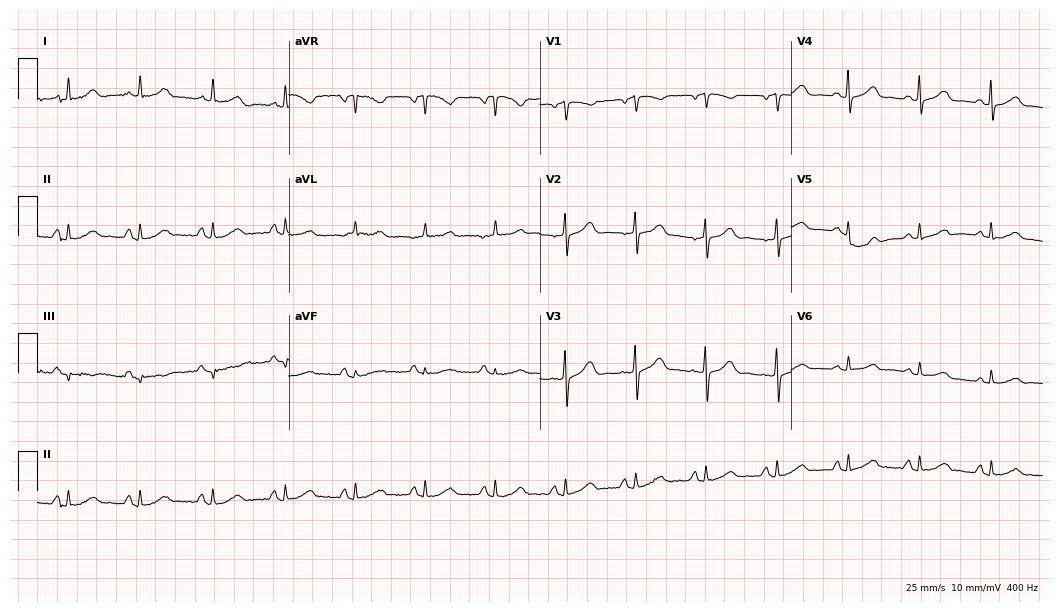
Resting 12-lead electrocardiogram. Patient: a 64-year-old woman. None of these six findings is recorded: first-degree AV block, right bundle branch block, left bundle branch block, sinus bradycardia, atrial fibrillation, sinus tachycardia. Findings outside these six are not listed.